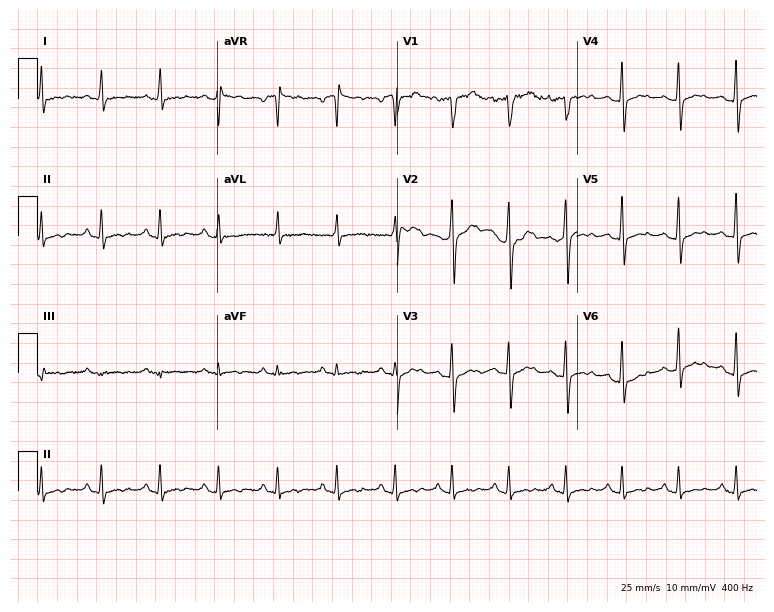
Standard 12-lead ECG recorded from a male patient, 41 years old (7.3-second recording at 400 Hz). None of these six findings is recorded: first-degree AV block, right bundle branch block, left bundle branch block, sinus bradycardia, atrial fibrillation, sinus tachycardia. Other findings, if any, are not listed.